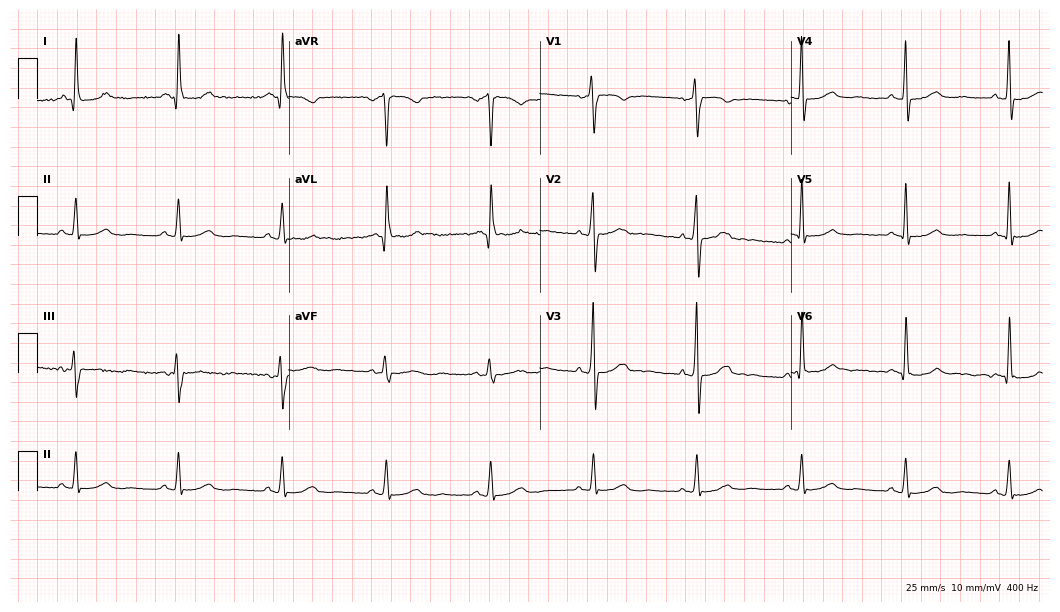
ECG — a 64-year-old woman. Labelled as a normal ECG.